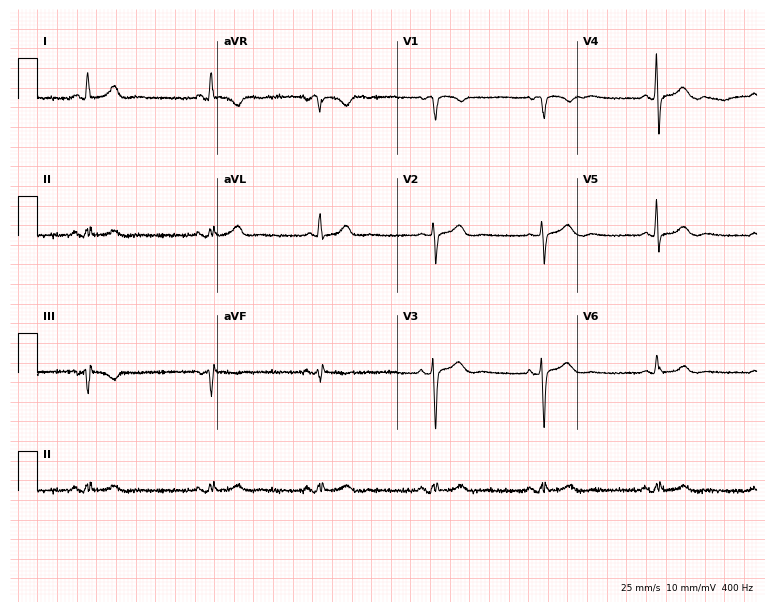
Standard 12-lead ECG recorded from a 52-year-old female (7.3-second recording at 400 Hz). None of these six findings is recorded: first-degree AV block, right bundle branch block (RBBB), left bundle branch block (LBBB), sinus bradycardia, atrial fibrillation (AF), sinus tachycardia.